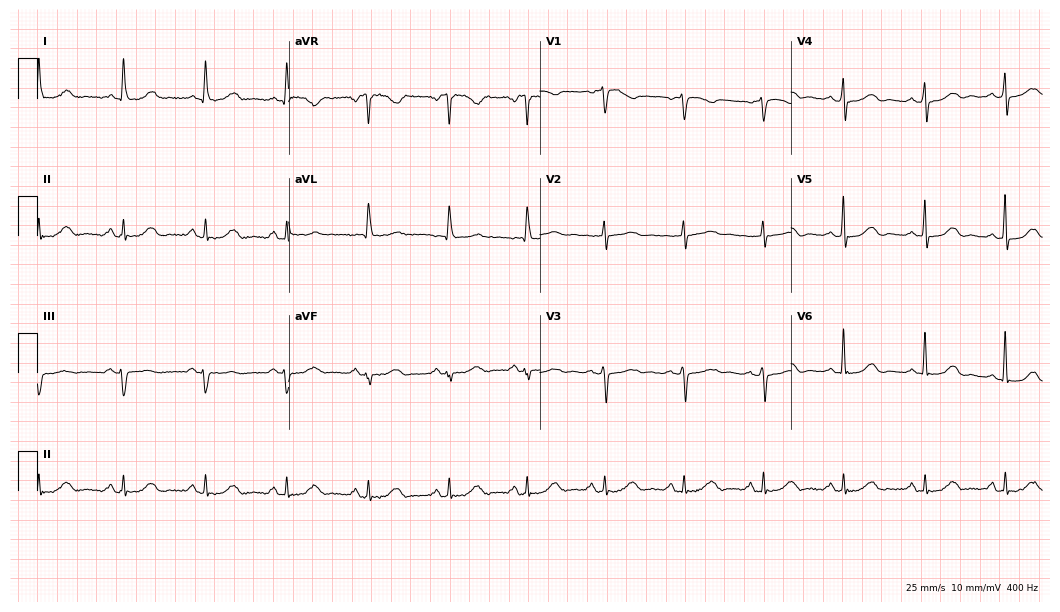
ECG (10.2-second recording at 400 Hz) — a 73-year-old female patient. Labelled as a normal ECG.